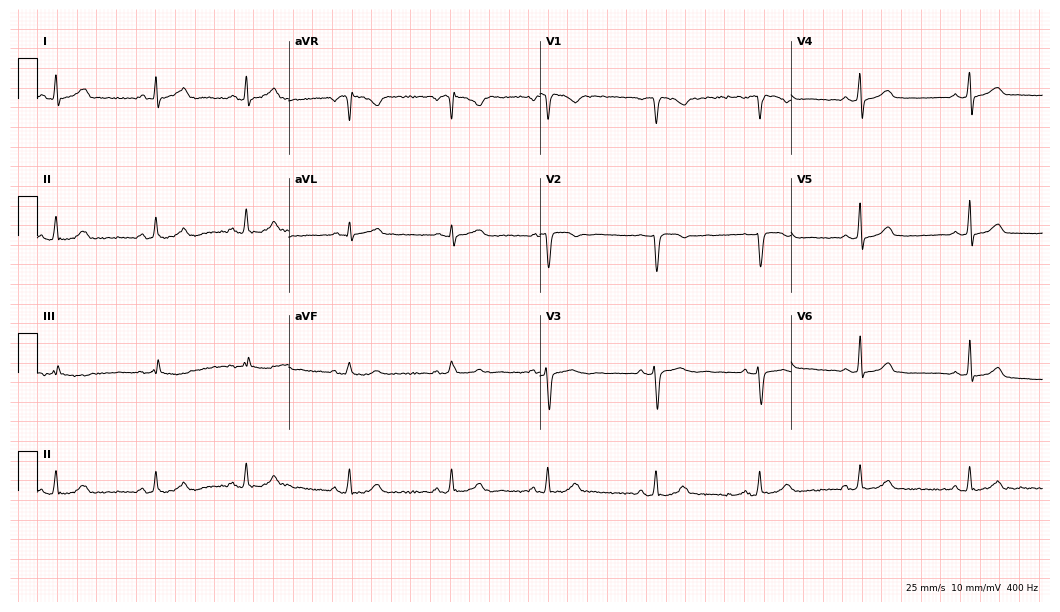
Electrocardiogram, a female patient, 28 years old. Of the six screened findings (first-degree AV block, right bundle branch block (RBBB), left bundle branch block (LBBB), sinus bradycardia, atrial fibrillation (AF), sinus tachycardia), none is recorded.